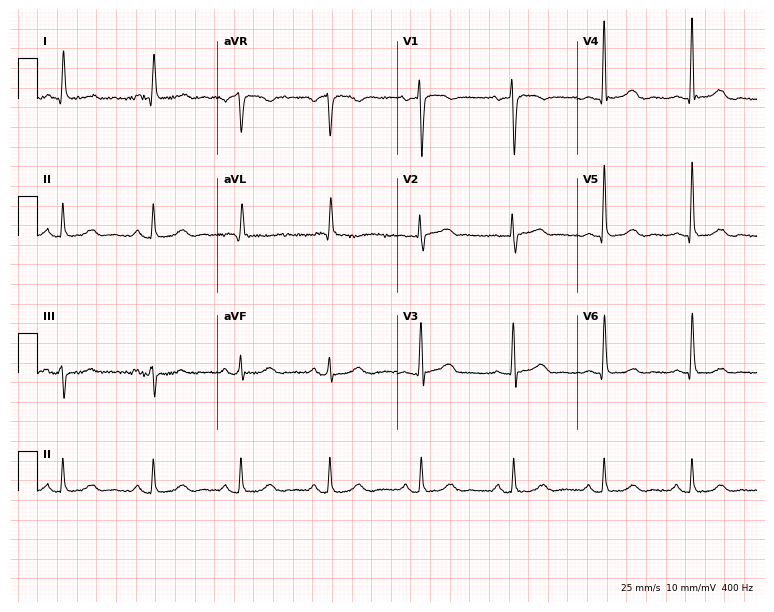
Electrocardiogram (7.3-second recording at 400 Hz), a woman, 64 years old. Overall reading on record: normal ECG.